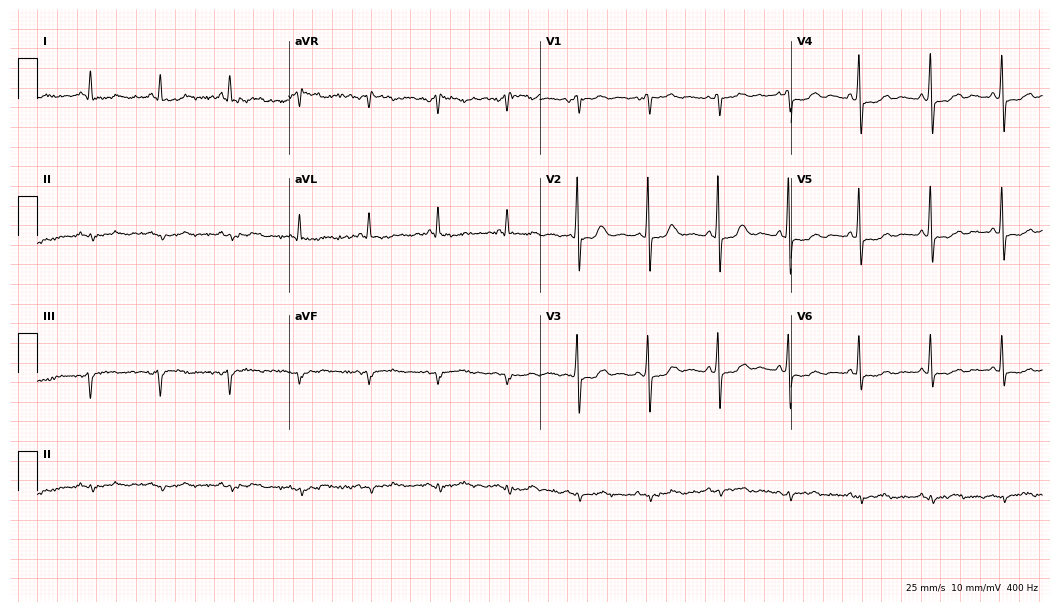
12-lead ECG from an 87-year-old female patient. No first-degree AV block, right bundle branch block (RBBB), left bundle branch block (LBBB), sinus bradycardia, atrial fibrillation (AF) or sinus tachycardia recorded for this tracing. Findings outside these six are not listed.